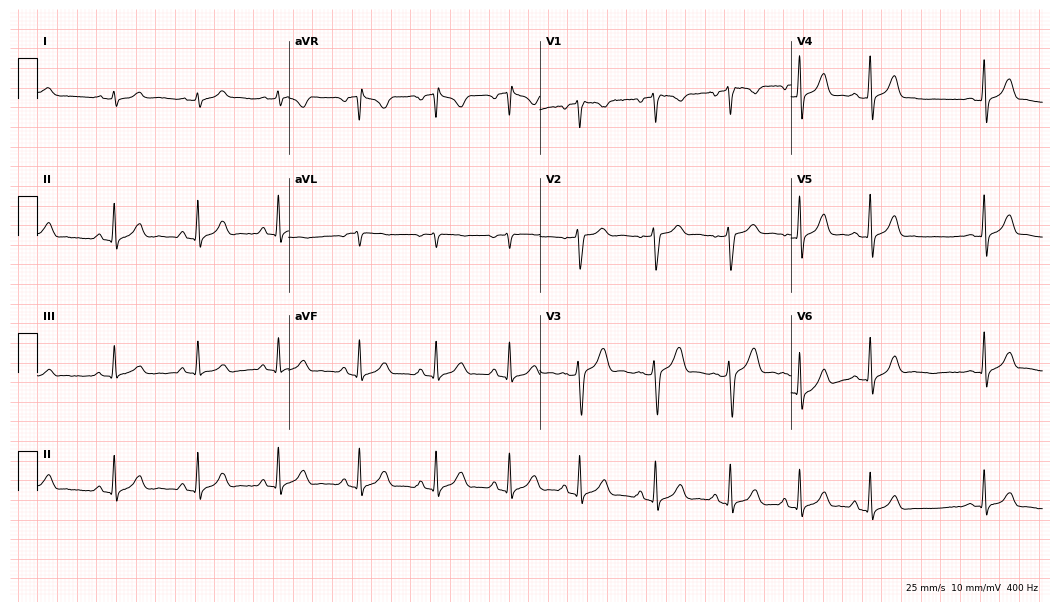
Electrocardiogram (10.2-second recording at 400 Hz), a male, 19 years old. Of the six screened findings (first-degree AV block, right bundle branch block (RBBB), left bundle branch block (LBBB), sinus bradycardia, atrial fibrillation (AF), sinus tachycardia), none is recorded. Only these six findings were labelled.